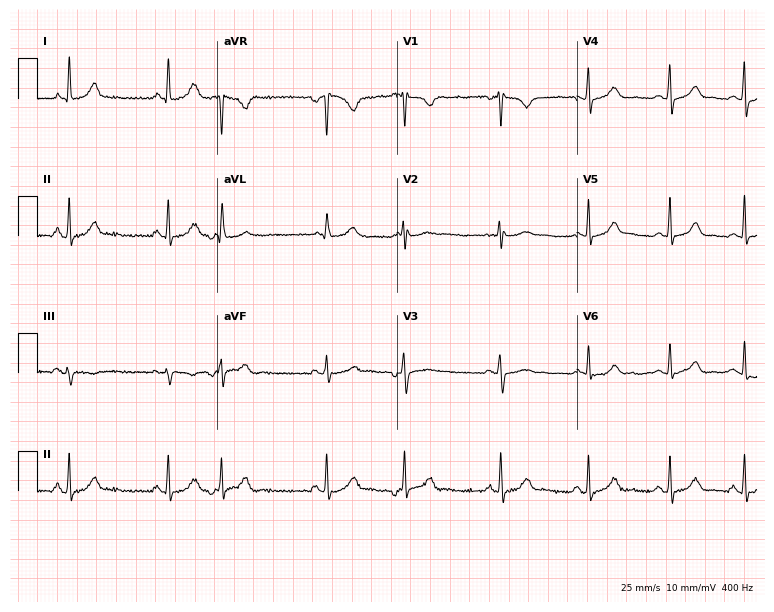
12-lead ECG from a female, 30 years old. No first-degree AV block, right bundle branch block, left bundle branch block, sinus bradycardia, atrial fibrillation or sinus tachycardia recorded for this tracing. Findings outside these six are not listed.